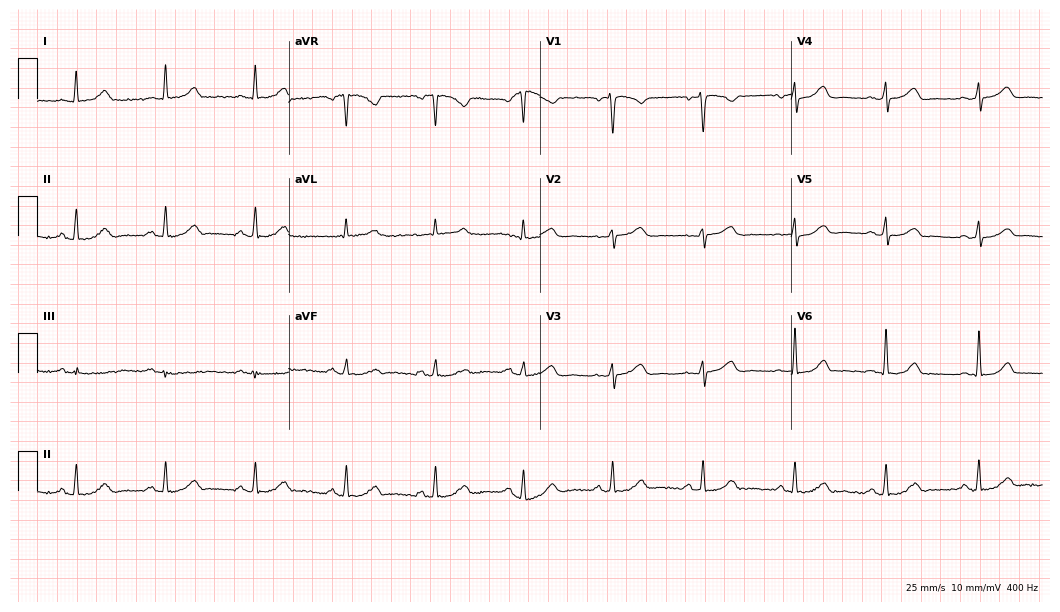
ECG — a female, 47 years old. Labelled as a normal ECG.